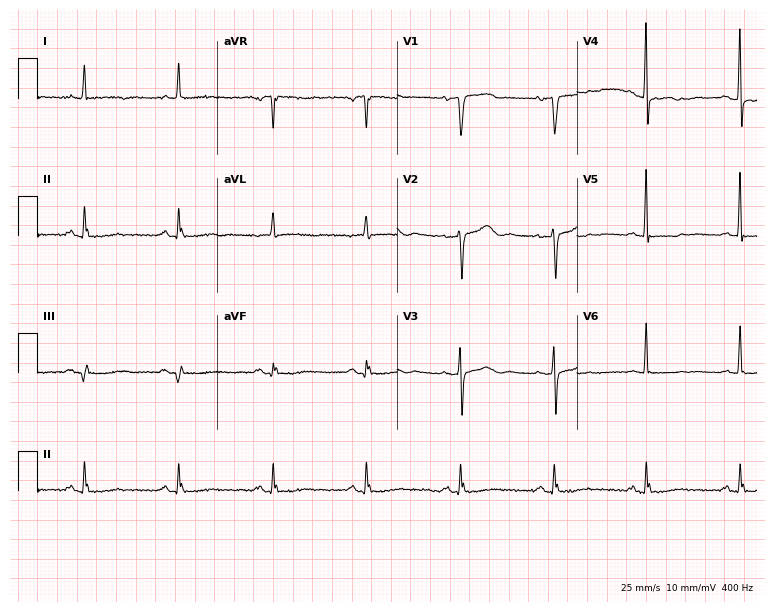
Standard 12-lead ECG recorded from an 86-year-old female patient. None of these six findings is recorded: first-degree AV block, right bundle branch block (RBBB), left bundle branch block (LBBB), sinus bradycardia, atrial fibrillation (AF), sinus tachycardia.